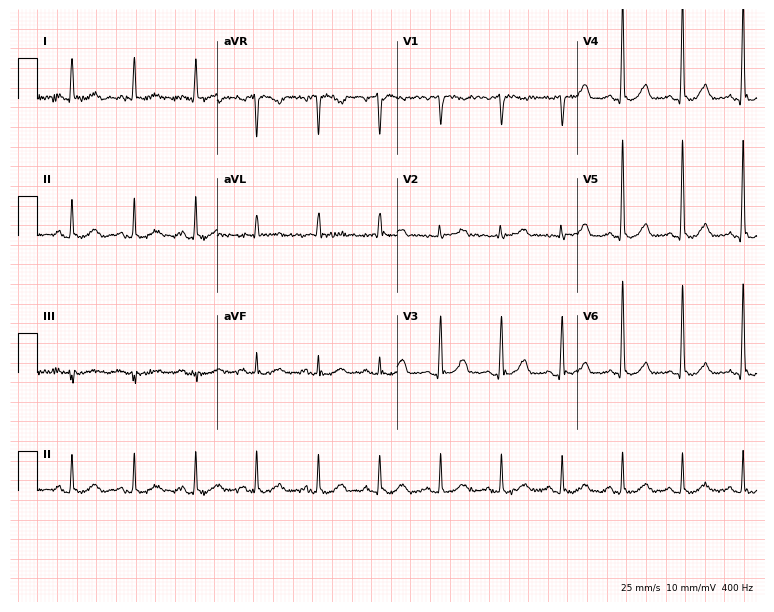
12-lead ECG from a female patient, 77 years old (7.3-second recording at 400 Hz). No first-degree AV block, right bundle branch block (RBBB), left bundle branch block (LBBB), sinus bradycardia, atrial fibrillation (AF) or sinus tachycardia recorded for this tracing. Findings outside these six are not listed.